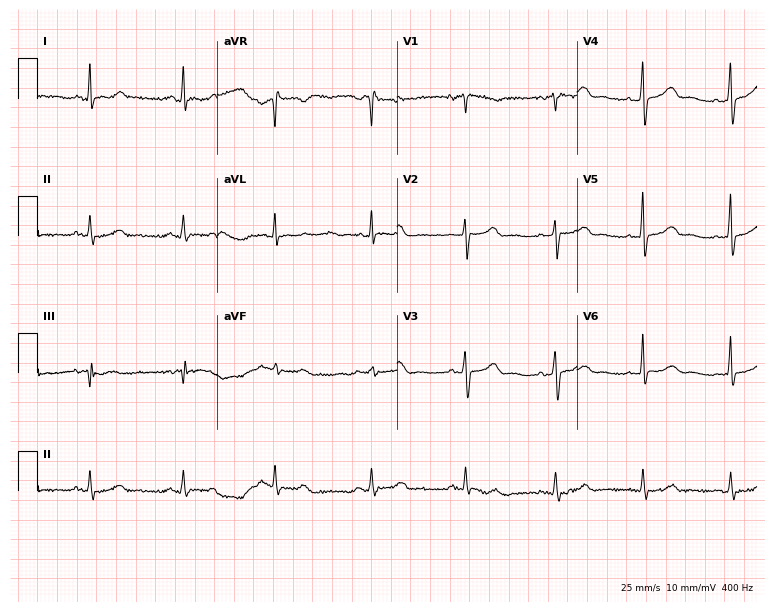
Standard 12-lead ECG recorded from a 49-year-old female (7.3-second recording at 400 Hz). Read as a normal ECG.